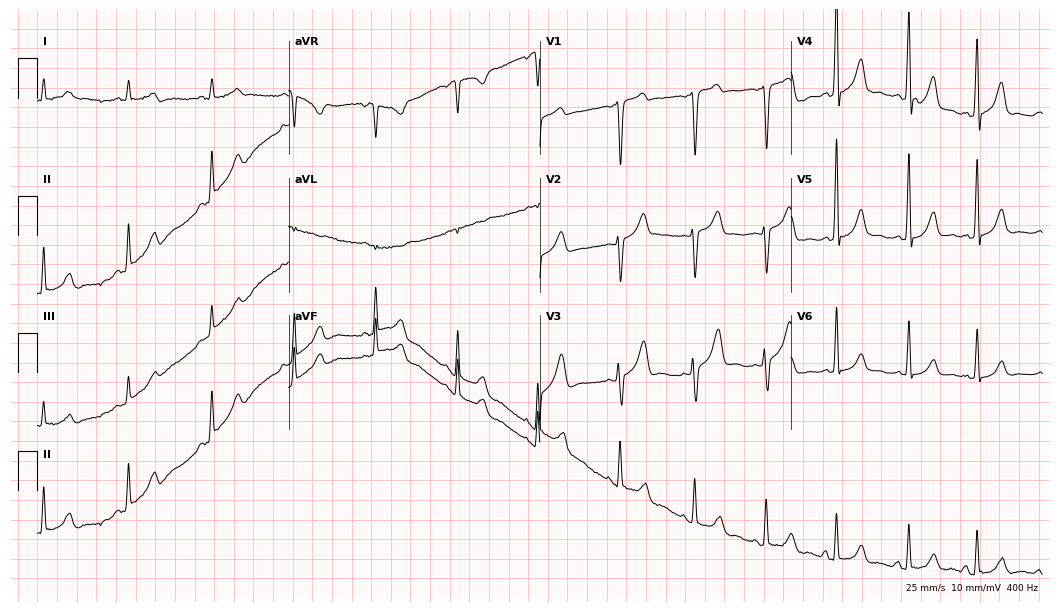
Standard 12-lead ECG recorded from a male patient, 50 years old (10.2-second recording at 400 Hz). Read as a normal ECG.